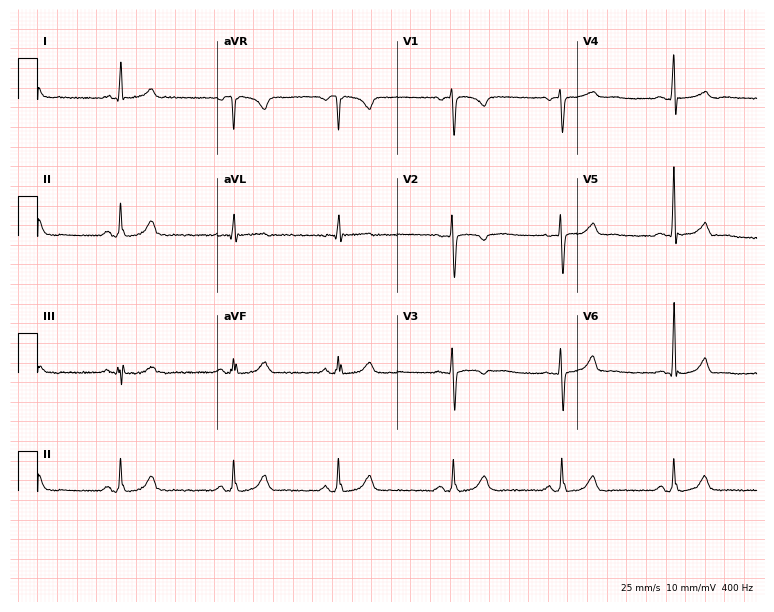
ECG — a woman, 41 years old. Labelled as a normal ECG.